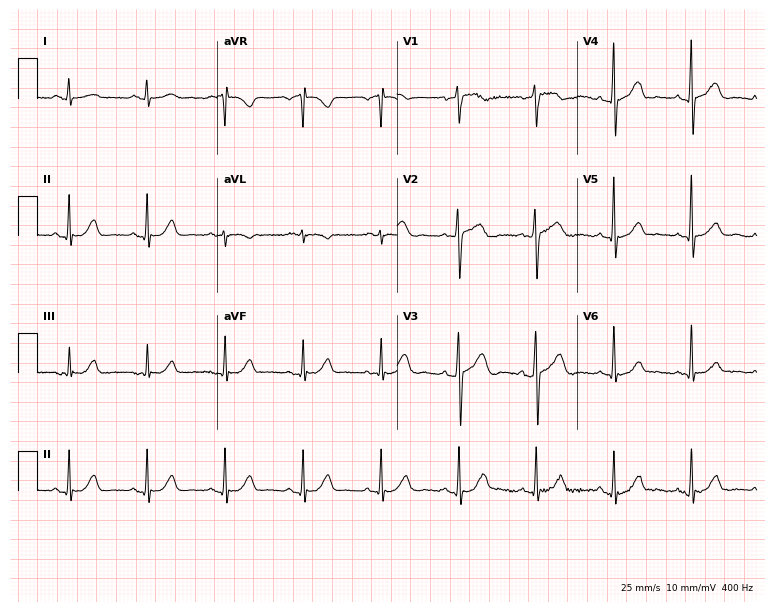
ECG (7.3-second recording at 400 Hz) — a male, 57 years old. Labelled as a normal ECG.